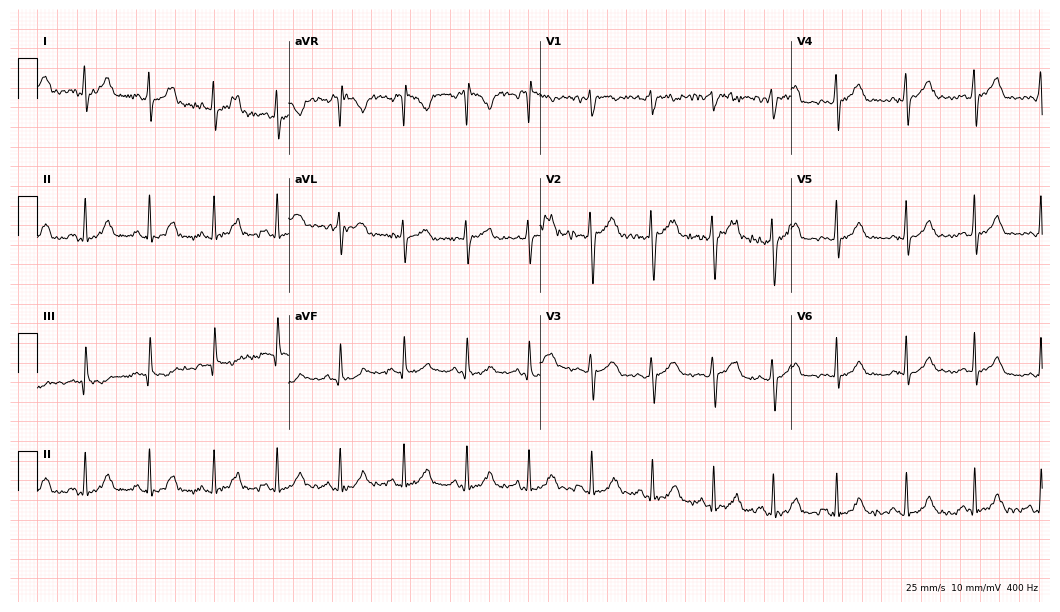
ECG — a 28-year-old woman. Labelled as a normal ECG.